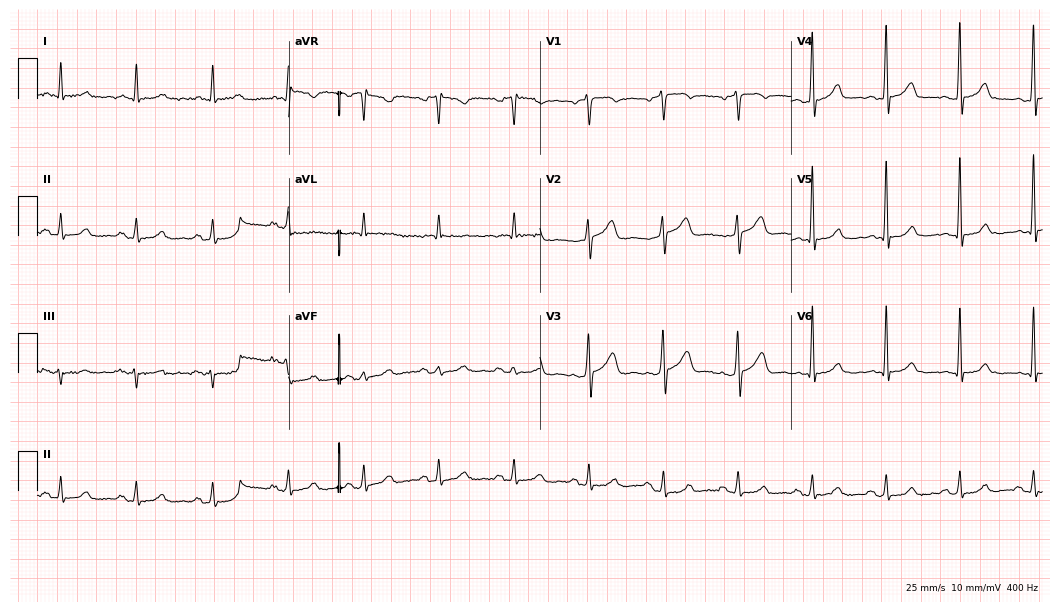
Standard 12-lead ECG recorded from a man, 71 years old. None of these six findings is recorded: first-degree AV block, right bundle branch block (RBBB), left bundle branch block (LBBB), sinus bradycardia, atrial fibrillation (AF), sinus tachycardia. Findings outside these six are not listed.